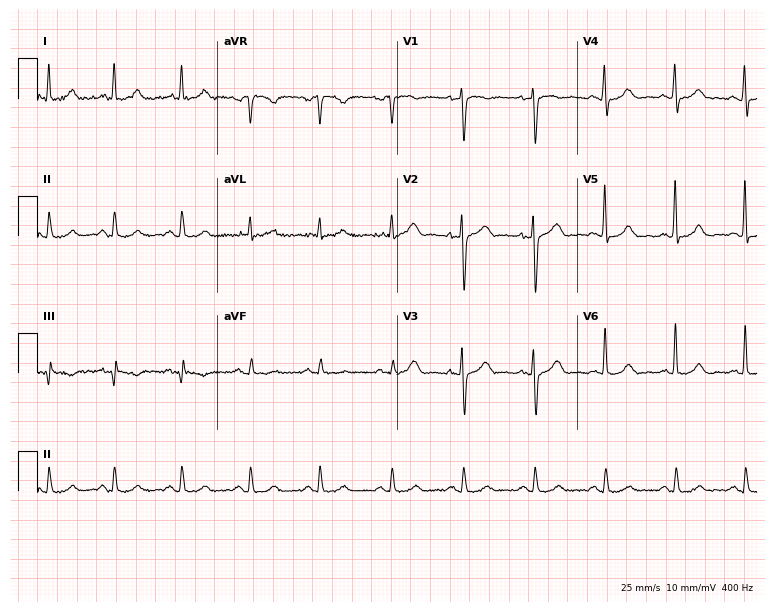
Standard 12-lead ECG recorded from a 52-year-old male patient (7.3-second recording at 400 Hz). Read as a normal ECG.